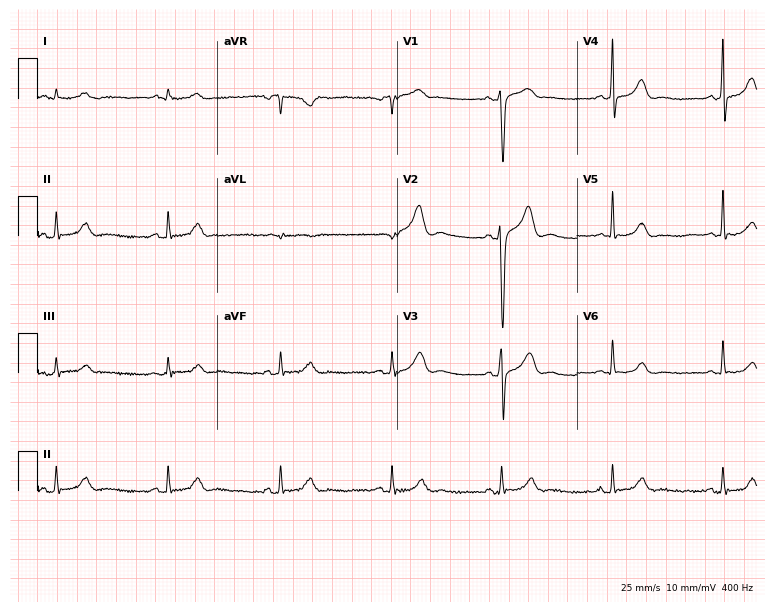
Standard 12-lead ECG recorded from a 46-year-old male patient (7.3-second recording at 400 Hz). None of these six findings is recorded: first-degree AV block, right bundle branch block, left bundle branch block, sinus bradycardia, atrial fibrillation, sinus tachycardia.